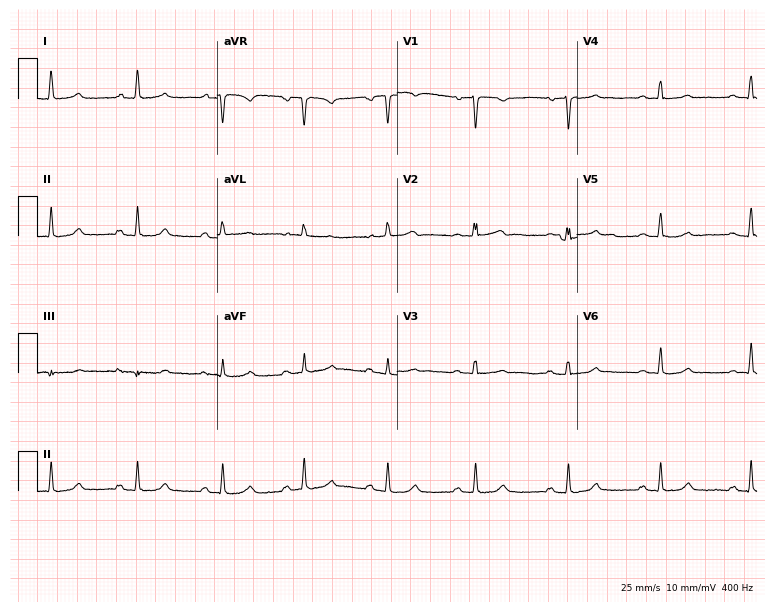
ECG (7.3-second recording at 400 Hz) — a female, 55 years old. Labelled as a normal ECG.